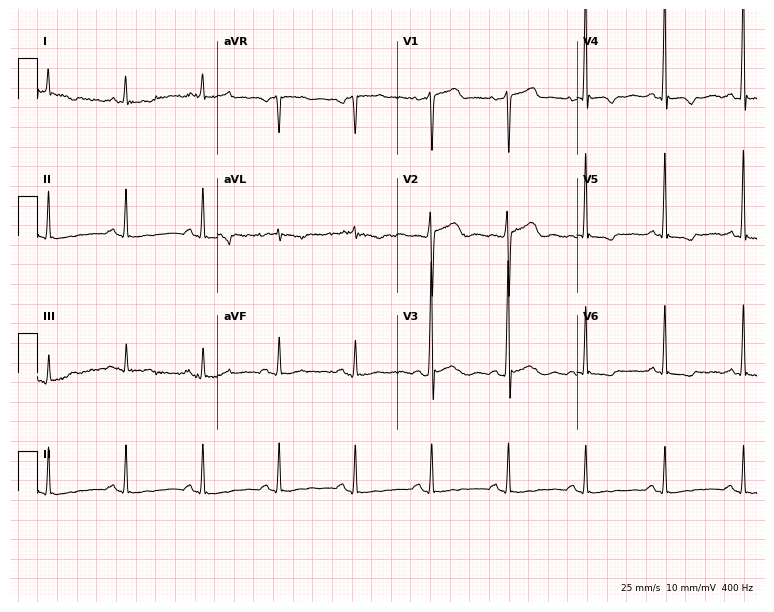
Resting 12-lead electrocardiogram. Patient: a 67-year-old male. None of these six findings is recorded: first-degree AV block, right bundle branch block, left bundle branch block, sinus bradycardia, atrial fibrillation, sinus tachycardia.